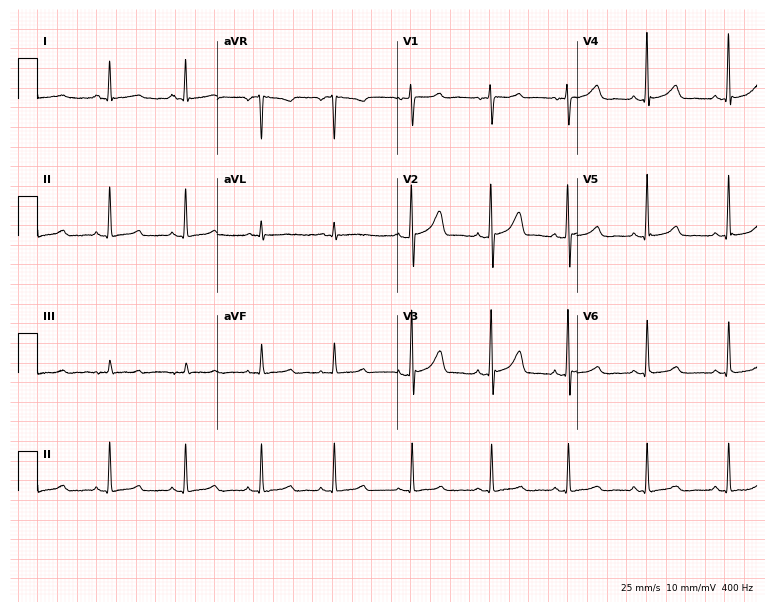
12-lead ECG (7.3-second recording at 400 Hz) from a 31-year-old female patient. Labelled as a normal ECG.